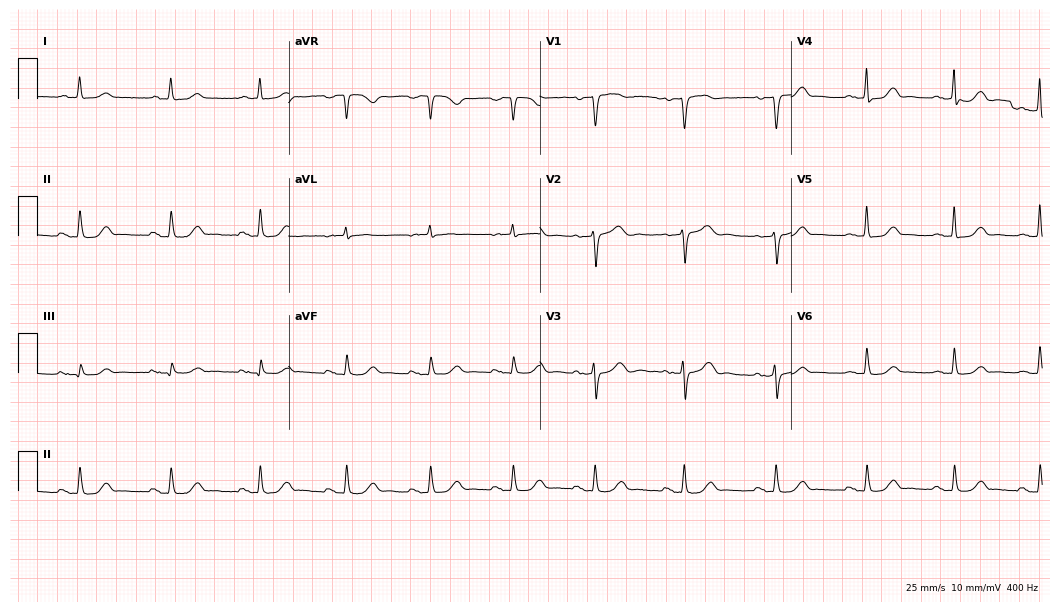
12-lead ECG from a 78-year-old woman. Labelled as a normal ECG.